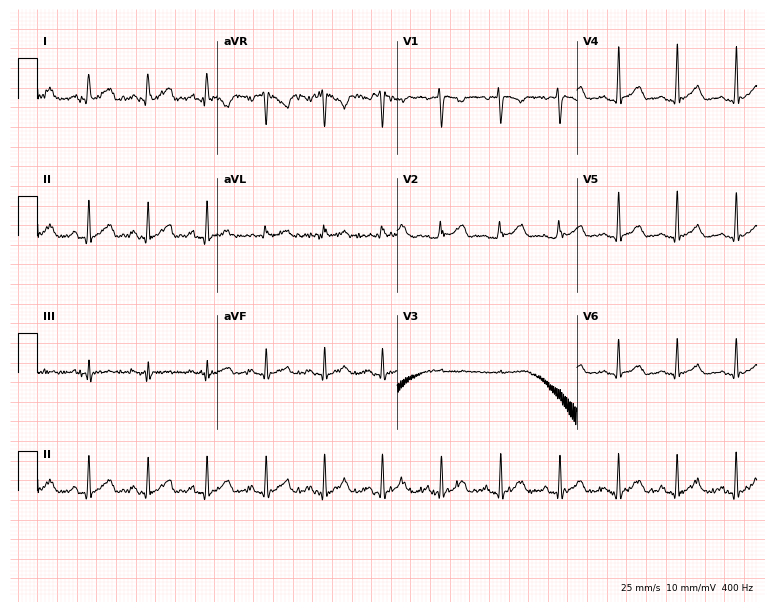
ECG (7.3-second recording at 400 Hz) — a 19-year-old female patient. Screened for six findings — first-degree AV block, right bundle branch block, left bundle branch block, sinus bradycardia, atrial fibrillation, sinus tachycardia — none is recorded. Only these six findings were labelled.